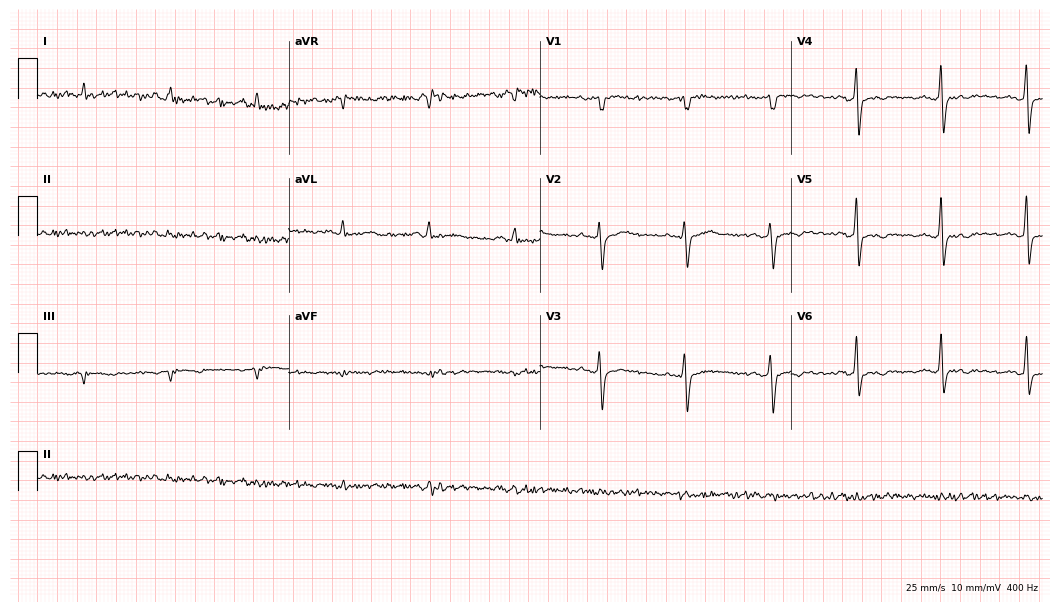
12-lead ECG from a 55-year-old female. No first-degree AV block, right bundle branch block, left bundle branch block, sinus bradycardia, atrial fibrillation or sinus tachycardia recorded for this tracing.